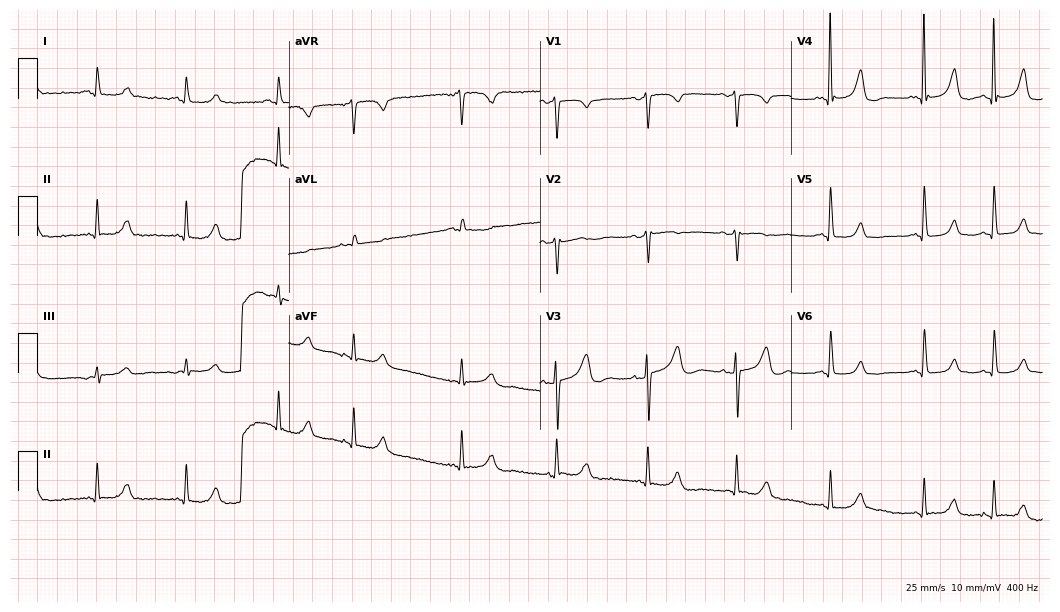
12-lead ECG from an 86-year-old woman. No first-degree AV block, right bundle branch block, left bundle branch block, sinus bradycardia, atrial fibrillation or sinus tachycardia recorded for this tracing.